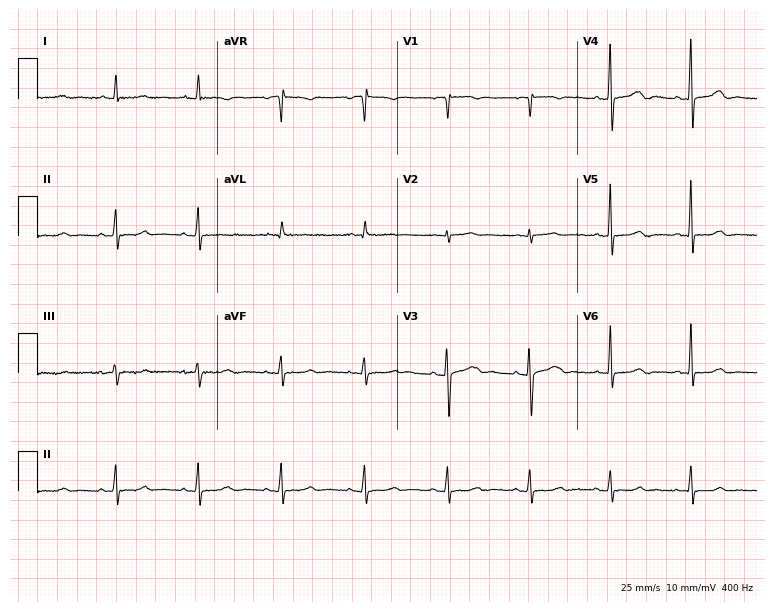
Electrocardiogram (7.3-second recording at 400 Hz), a 69-year-old female. Overall reading on record: normal ECG.